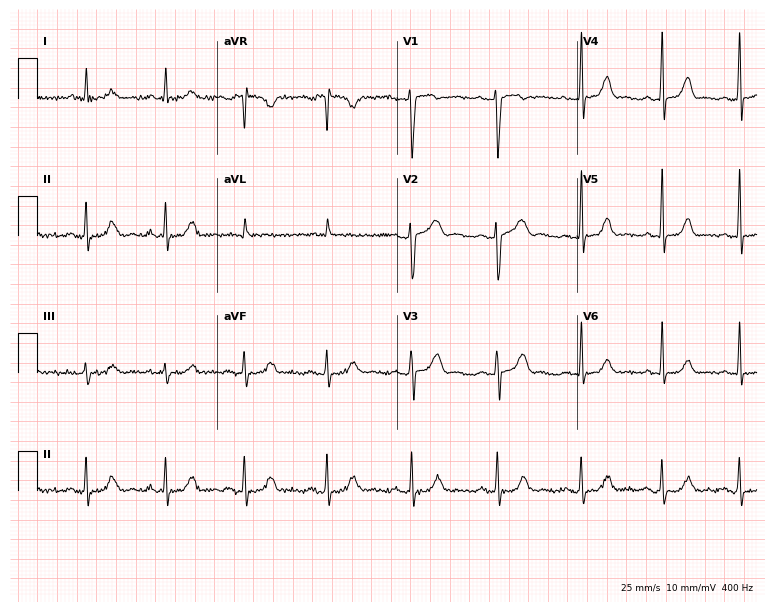
Standard 12-lead ECG recorded from a 35-year-old female patient. None of these six findings is recorded: first-degree AV block, right bundle branch block, left bundle branch block, sinus bradycardia, atrial fibrillation, sinus tachycardia.